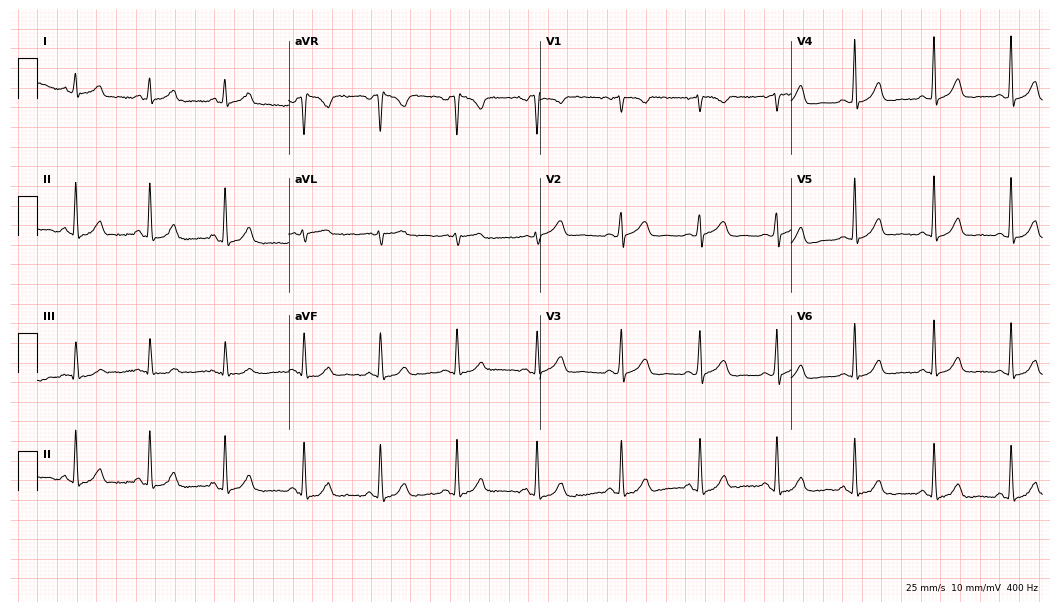
Electrocardiogram, a 40-year-old female patient. Overall reading on record: normal ECG.